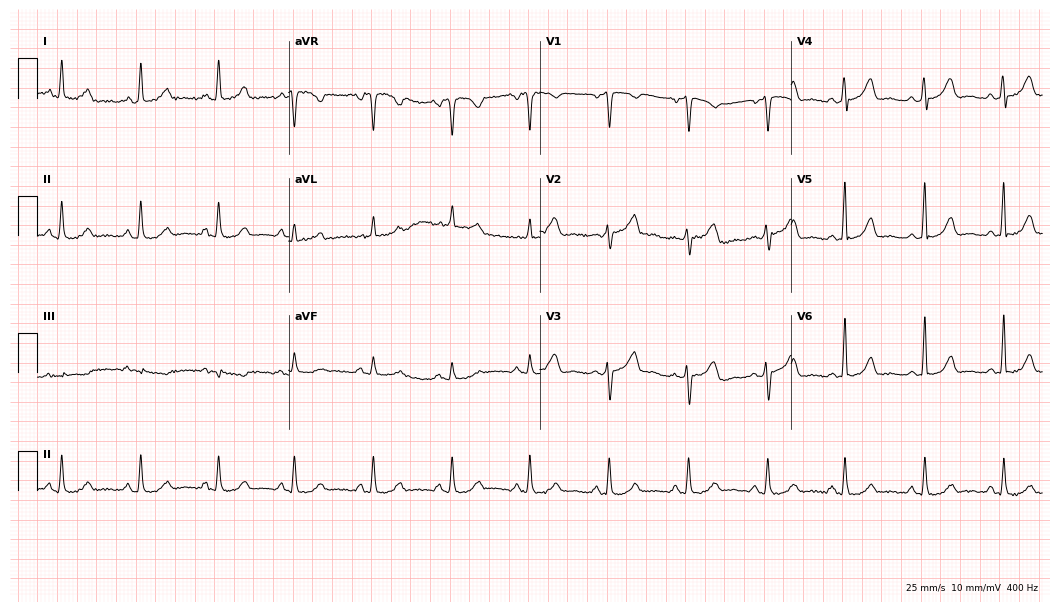
Electrocardiogram (10.2-second recording at 400 Hz), a 39-year-old female patient. Overall reading on record: normal ECG.